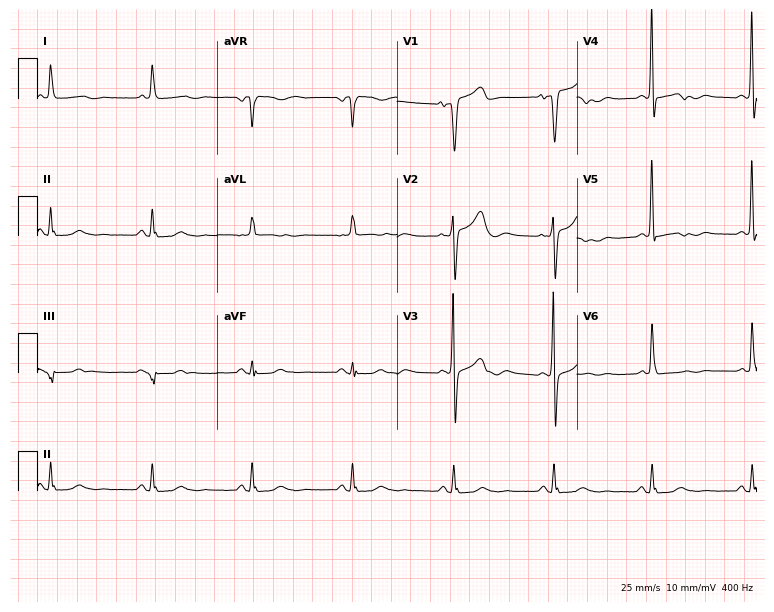
Resting 12-lead electrocardiogram. Patient: a female, 80 years old. None of these six findings is recorded: first-degree AV block, right bundle branch block, left bundle branch block, sinus bradycardia, atrial fibrillation, sinus tachycardia. Other findings, if any, are not listed.